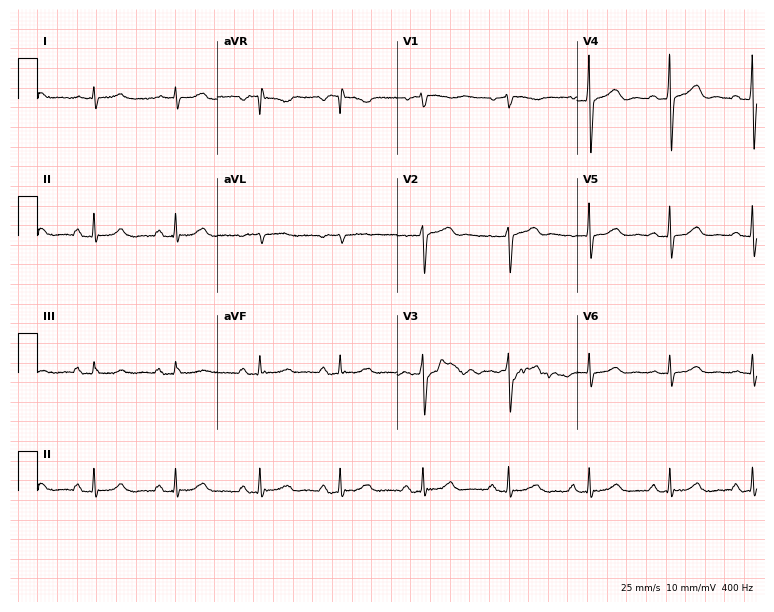
ECG (7.3-second recording at 400 Hz) — a male, 55 years old. Screened for six findings — first-degree AV block, right bundle branch block (RBBB), left bundle branch block (LBBB), sinus bradycardia, atrial fibrillation (AF), sinus tachycardia — none is recorded. Findings outside these six are not listed.